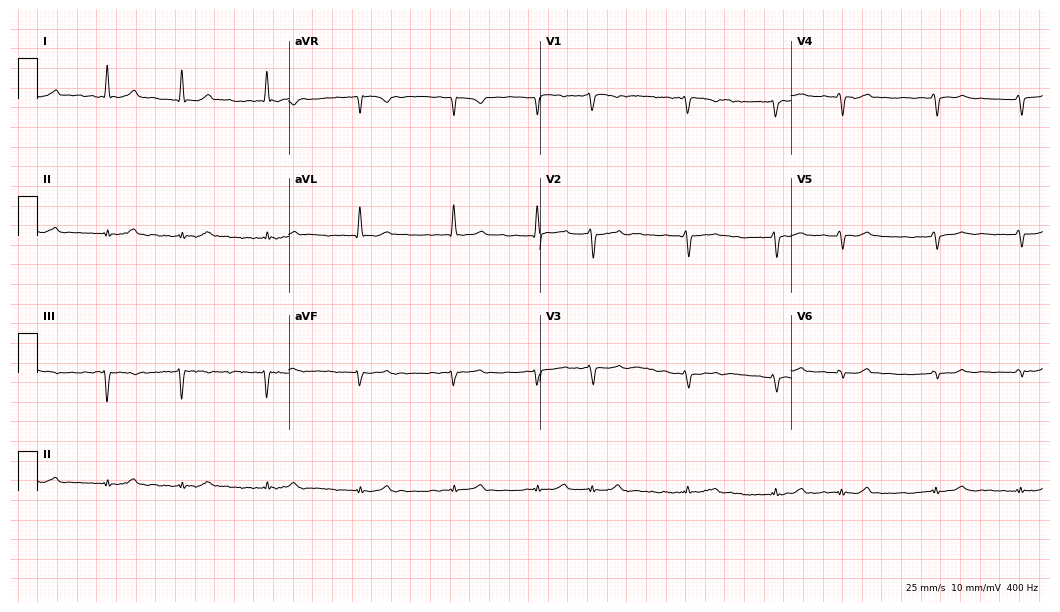
12-lead ECG (10.2-second recording at 400 Hz) from a 64-year-old male patient. Findings include atrial fibrillation.